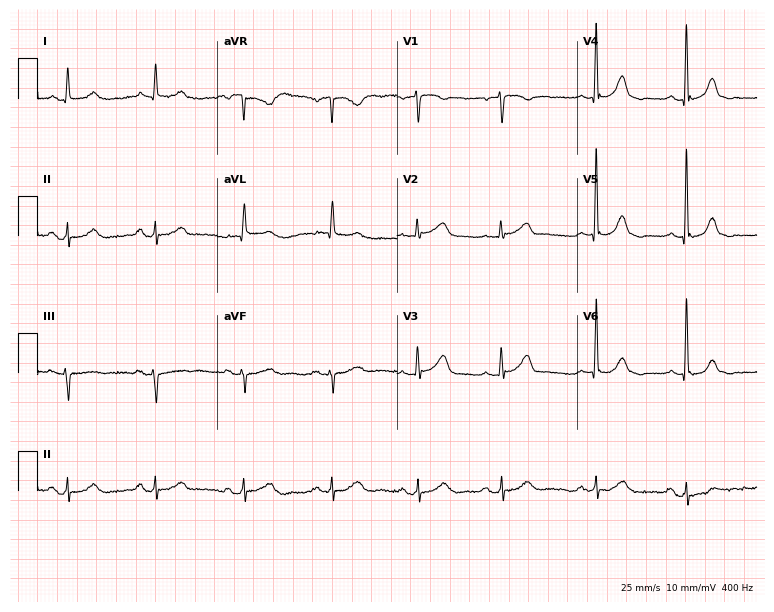
Standard 12-lead ECG recorded from a woman, 73 years old (7.3-second recording at 400 Hz). None of these six findings is recorded: first-degree AV block, right bundle branch block, left bundle branch block, sinus bradycardia, atrial fibrillation, sinus tachycardia.